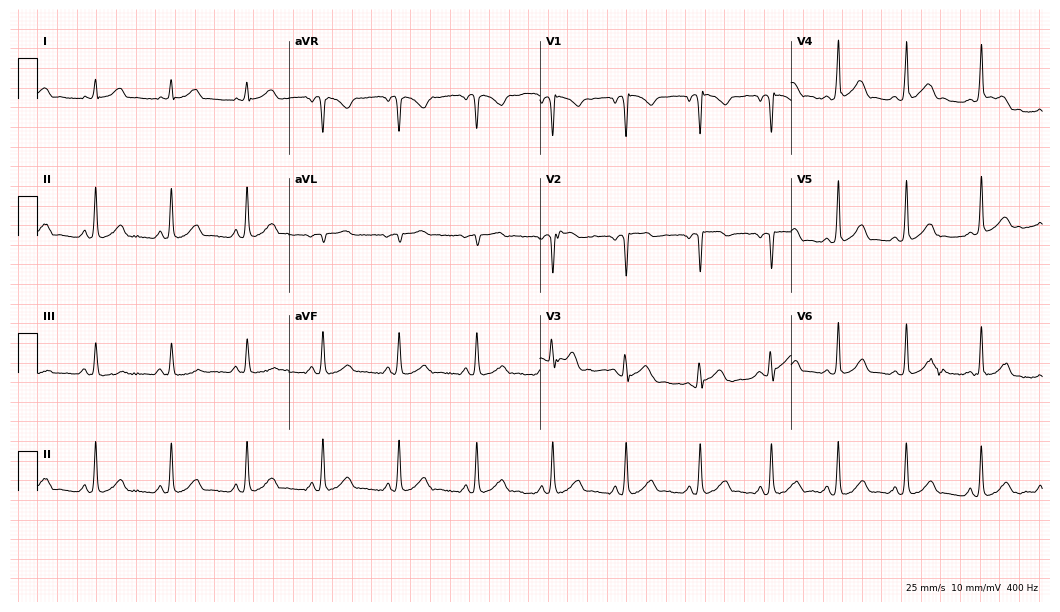
12-lead ECG from an 18-year-old man. Recorded interpretation: within normal limits.